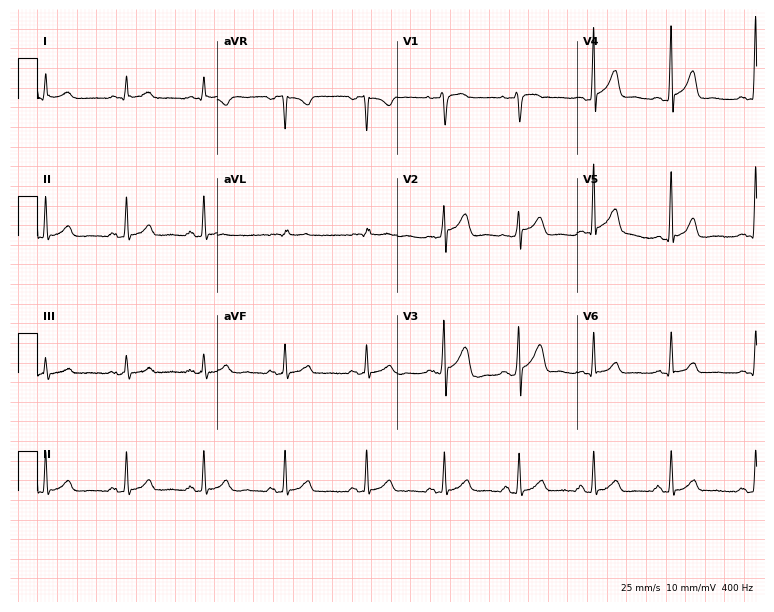
Electrocardiogram (7.3-second recording at 400 Hz), a male, 32 years old. Overall reading on record: normal ECG.